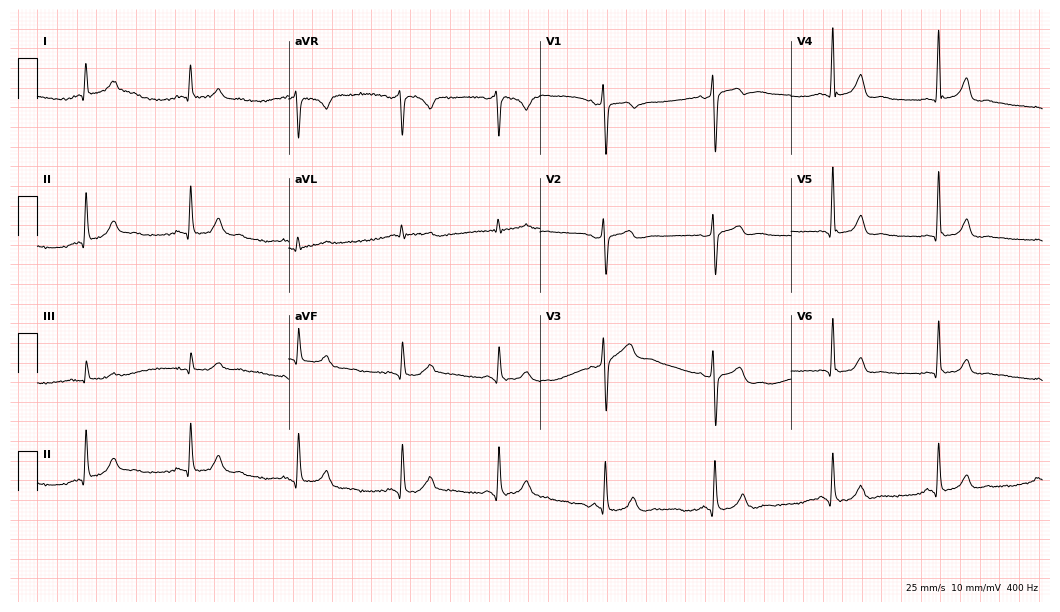
Standard 12-lead ECG recorded from a 59-year-old male. Read as a normal ECG.